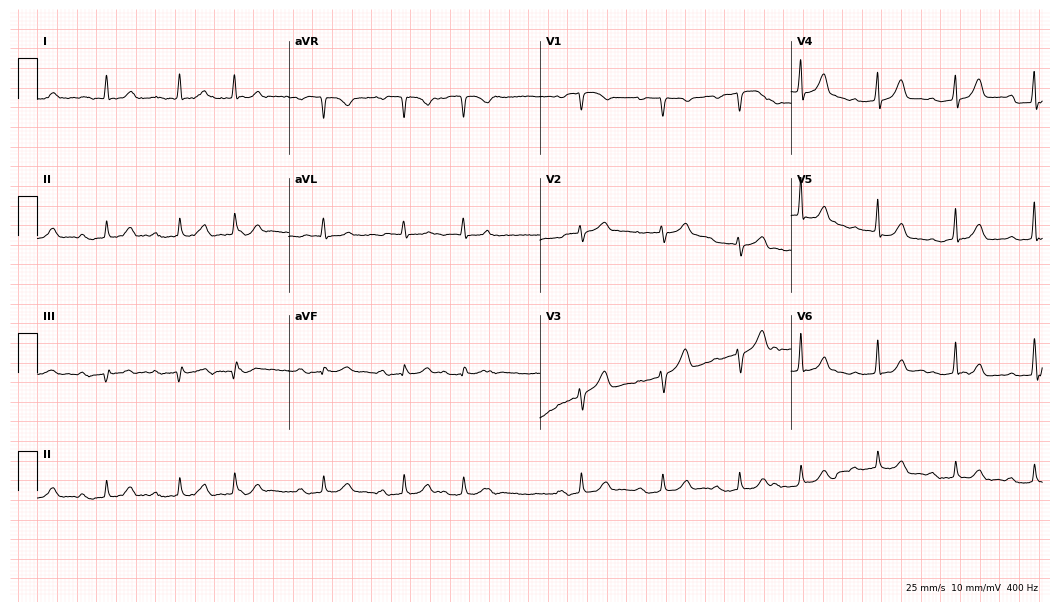
ECG — a man, 86 years old. Screened for six findings — first-degree AV block, right bundle branch block (RBBB), left bundle branch block (LBBB), sinus bradycardia, atrial fibrillation (AF), sinus tachycardia — none is recorded. Findings outside these six are not listed.